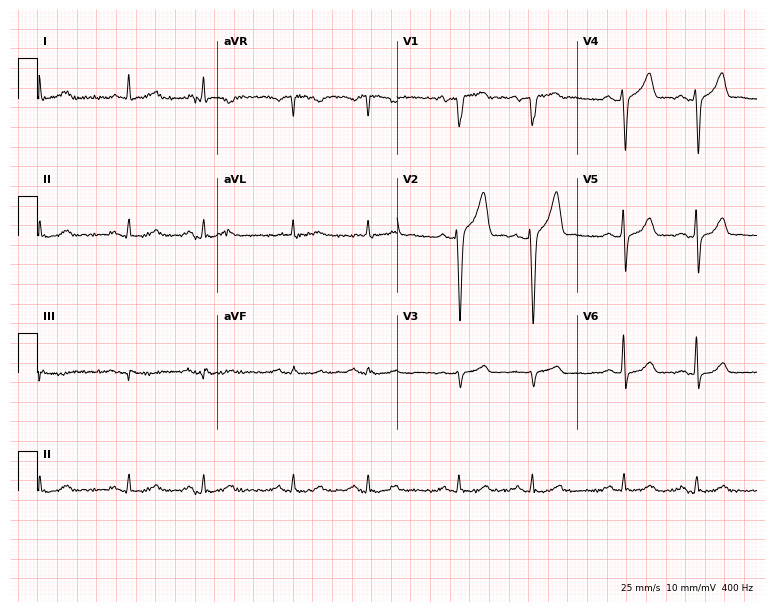
ECG (7.3-second recording at 400 Hz) — a male patient, 75 years old. Screened for six findings — first-degree AV block, right bundle branch block, left bundle branch block, sinus bradycardia, atrial fibrillation, sinus tachycardia — none is recorded. Other findings, if any, are not listed.